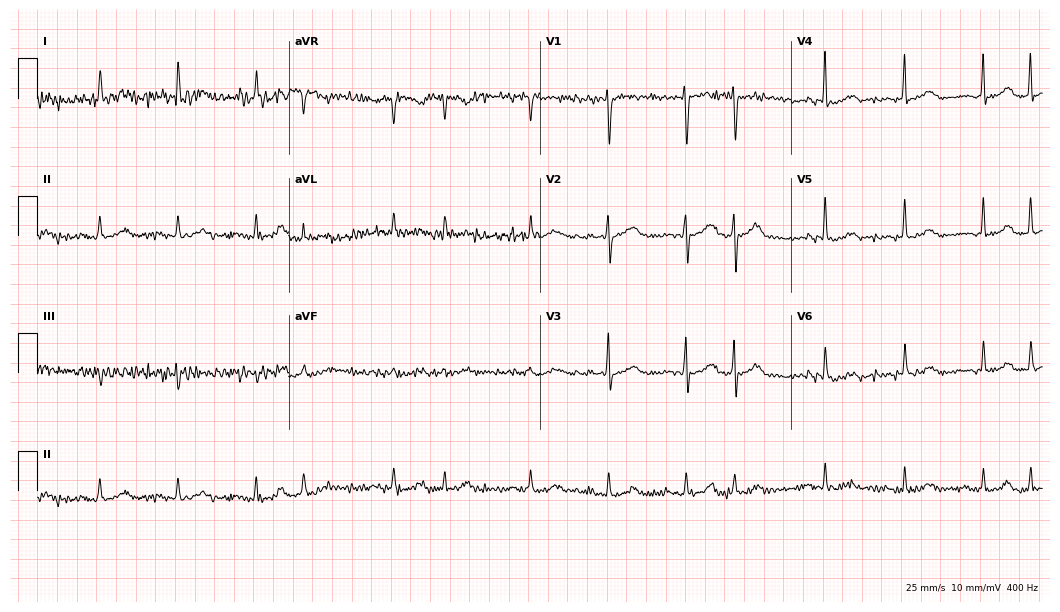
12-lead ECG (10.2-second recording at 400 Hz) from a man, 66 years old. Screened for six findings — first-degree AV block, right bundle branch block, left bundle branch block, sinus bradycardia, atrial fibrillation, sinus tachycardia — none is recorded.